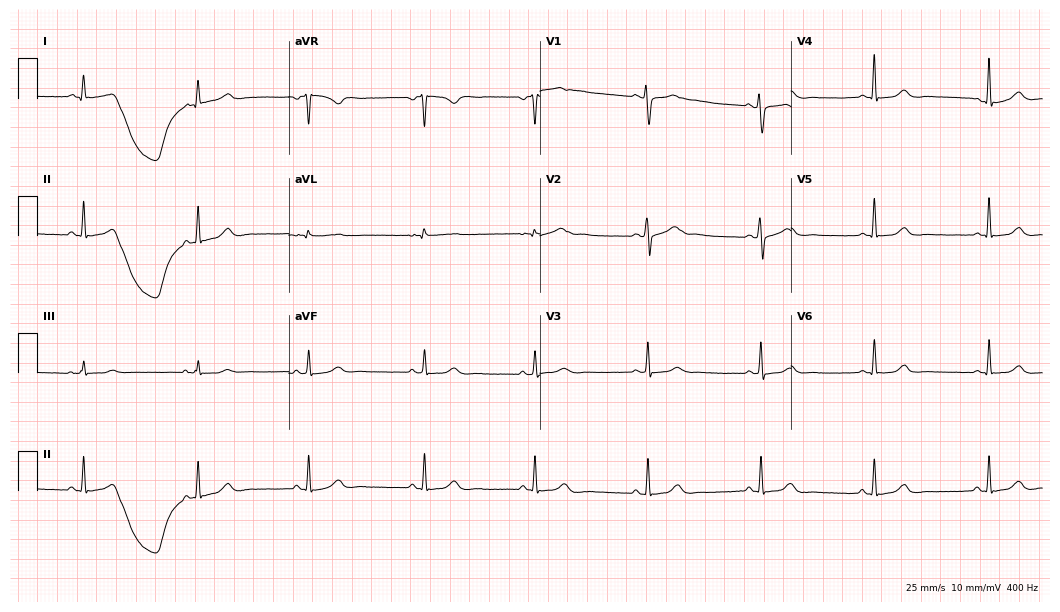
12-lead ECG from a female, 37 years old. Labelled as a normal ECG.